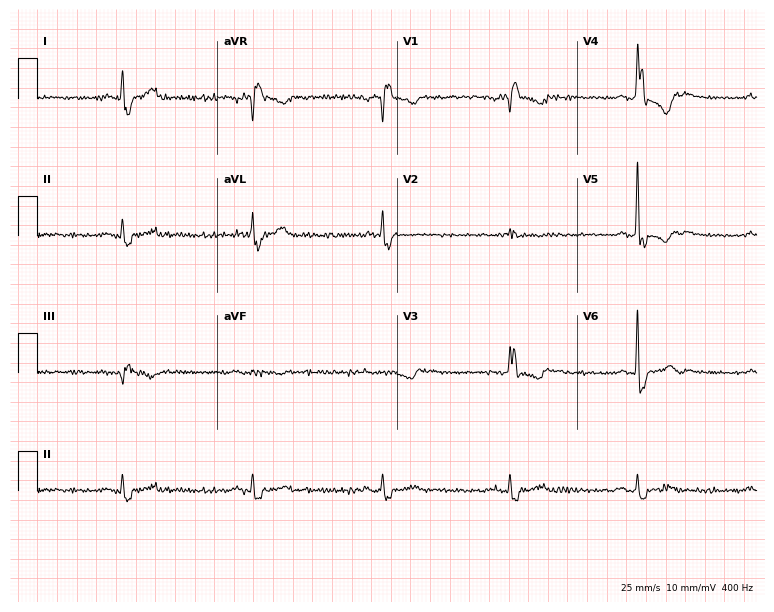
Resting 12-lead electrocardiogram. Patient: a 78-year-old man. The tracing shows right bundle branch block.